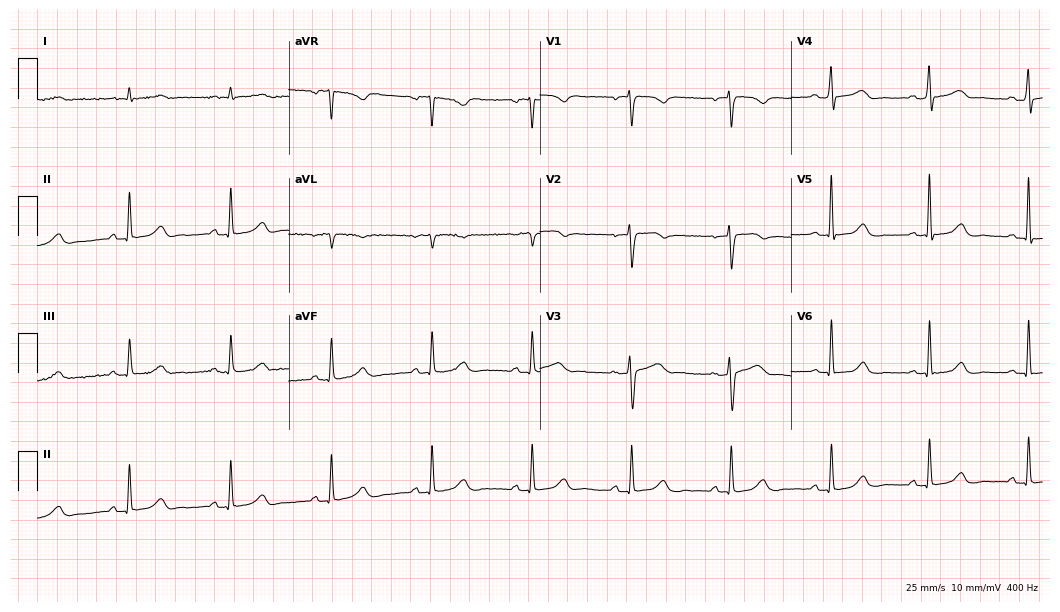
Standard 12-lead ECG recorded from a 56-year-old woman. Read as a normal ECG.